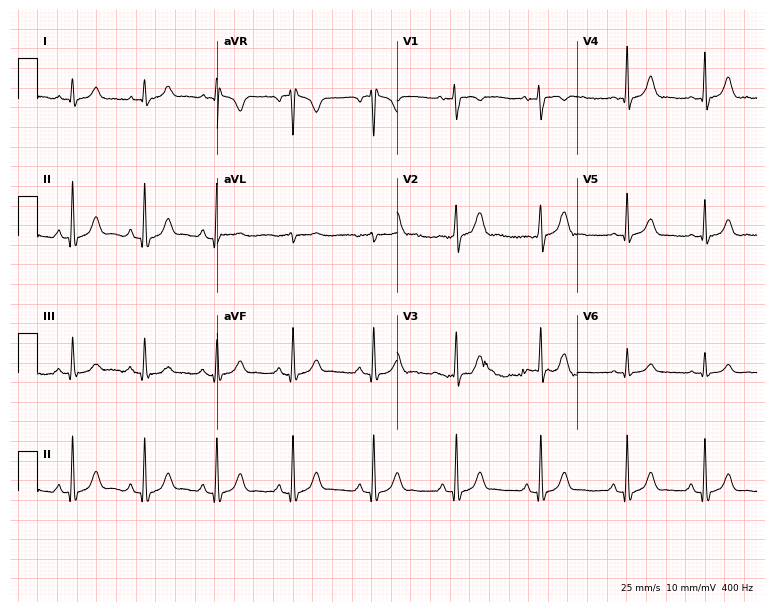
Resting 12-lead electrocardiogram (7.3-second recording at 400 Hz). Patient: a woman, 26 years old. None of these six findings is recorded: first-degree AV block, right bundle branch block, left bundle branch block, sinus bradycardia, atrial fibrillation, sinus tachycardia. Other findings, if any, are not listed.